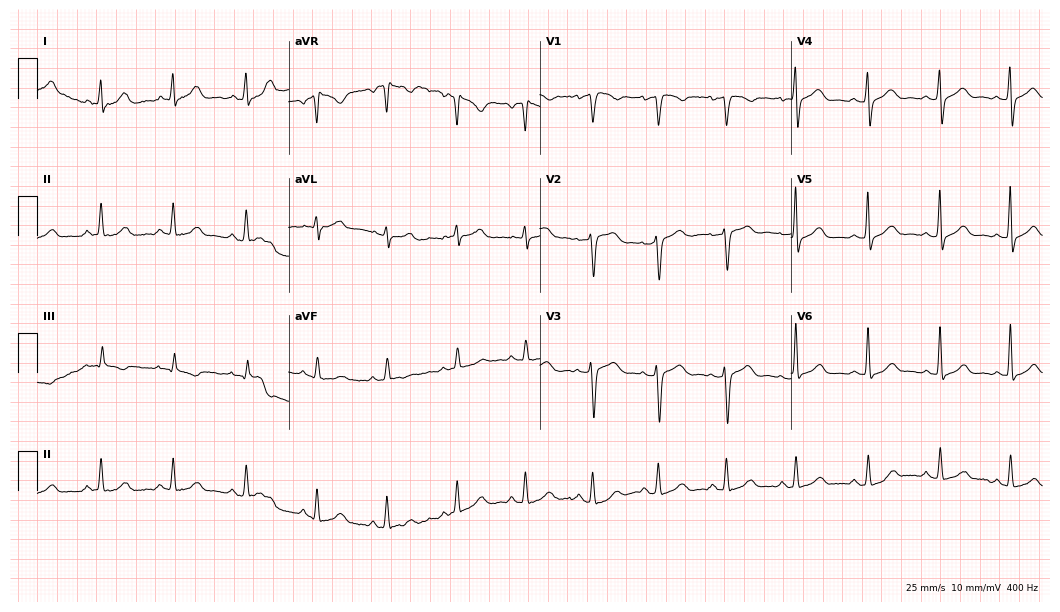
Standard 12-lead ECG recorded from a 40-year-old female patient. Read as a normal ECG.